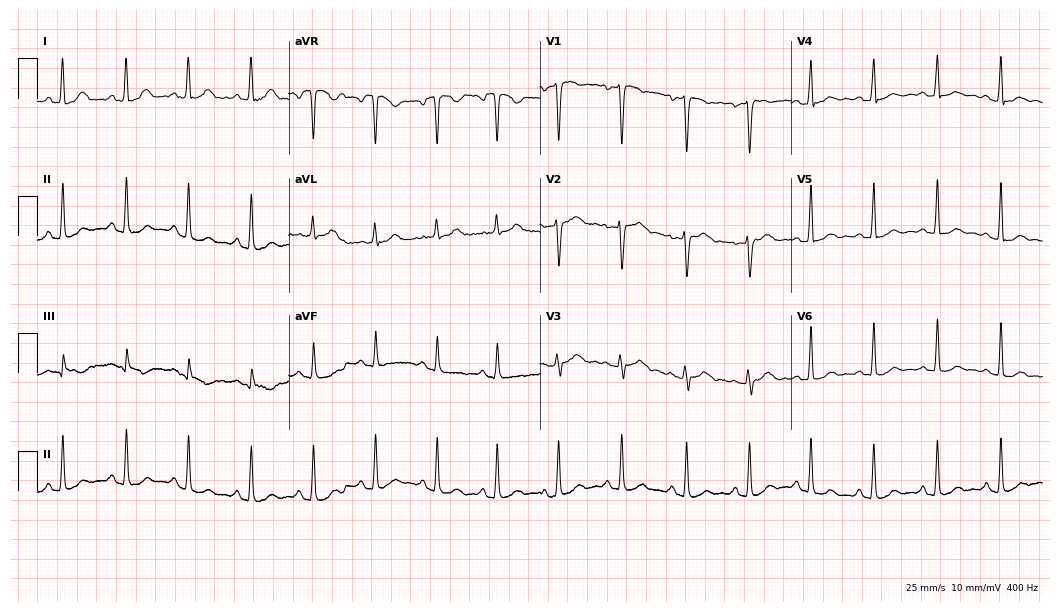
12-lead ECG from a 34-year-old female. Labelled as a normal ECG.